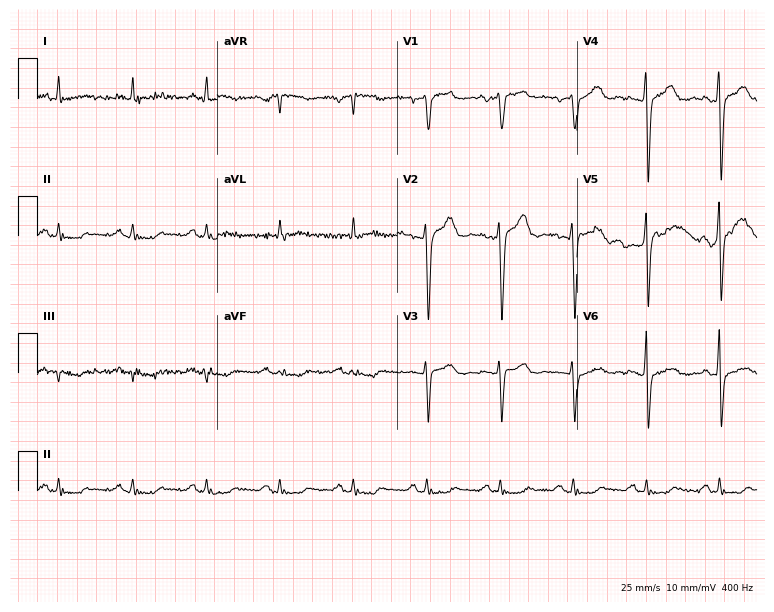
Standard 12-lead ECG recorded from a 50-year-old female patient (7.3-second recording at 400 Hz). None of these six findings is recorded: first-degree AV block, right bundle branch block, left bundle branch block, sinus bradycardia, atrial fibrillation, sinus tachycardia.